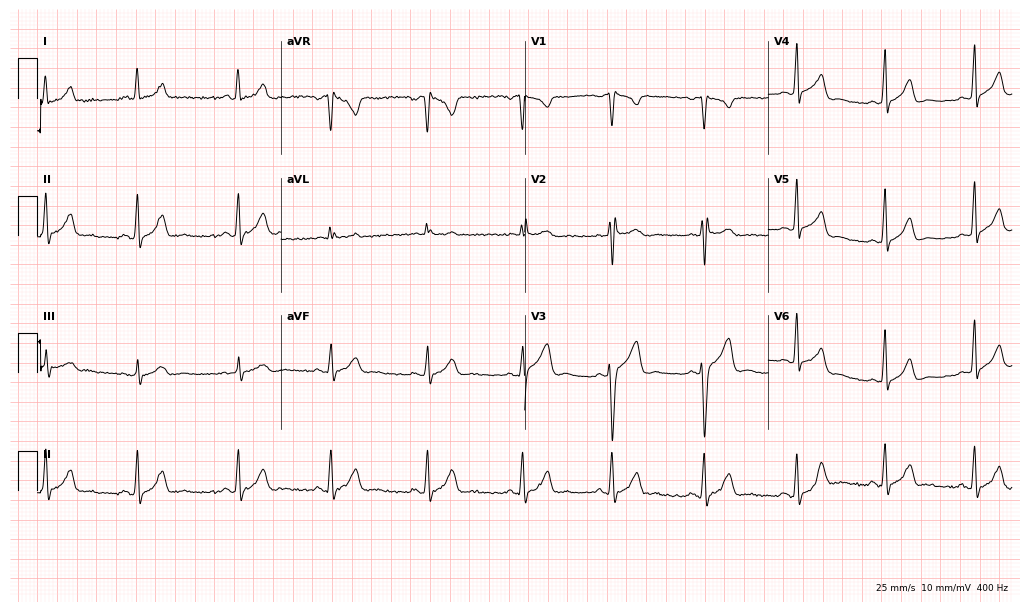
Resting 12-lead electrocardiogram. Patient: a 27-year-old female. None of these six findings is recorded: first-degree AV block, right bundle branch block, left bundle branch block, sinus bradycardia, atrial fibrillation, sinus tachycardia. Other findings, if any, are not listed.